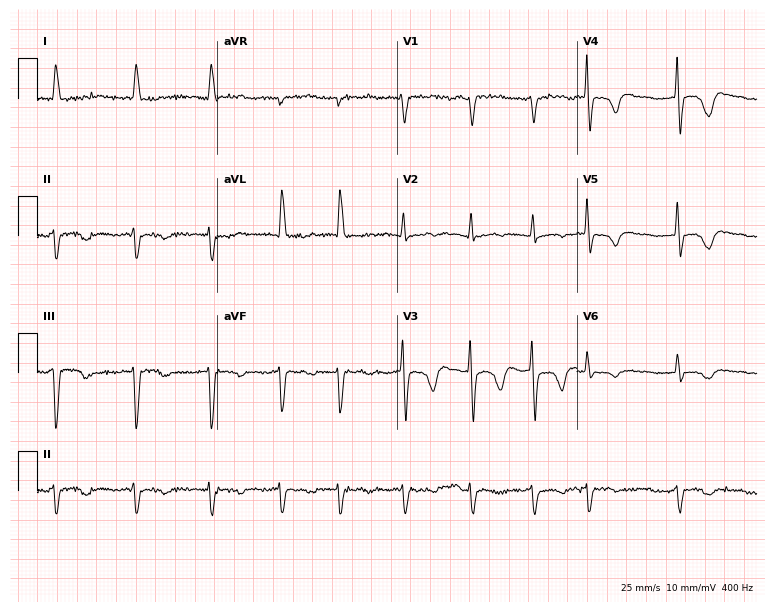
Electrocardiogram, an 84-year-old woman. Interpretation includes atrial fibrillation.